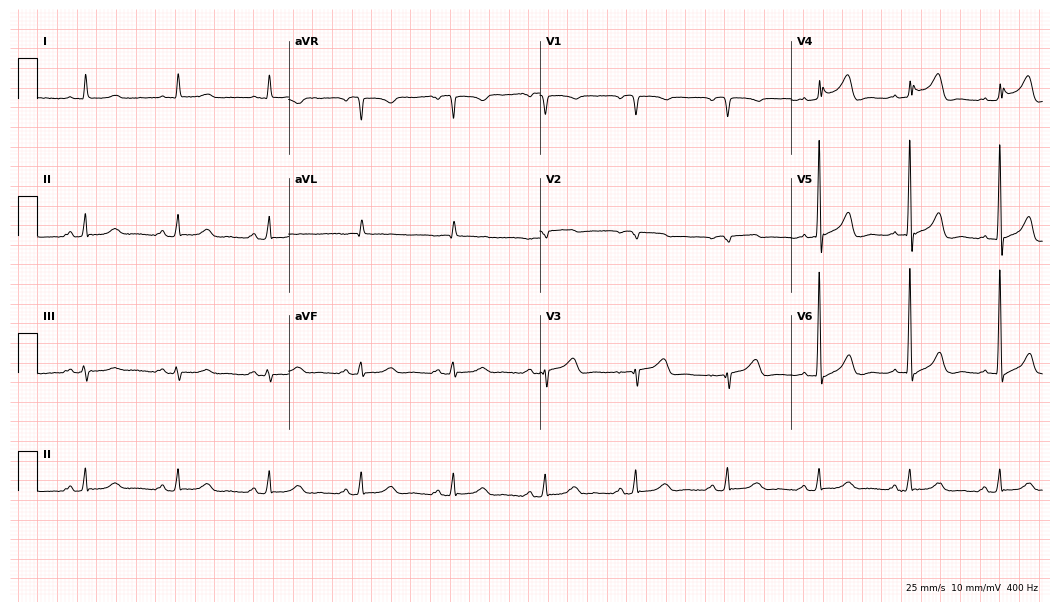
Electrocardiogram (10.2-second recording at 400 Hz), a 70-year-old male. Of the six screened findings (first-degree AV block, right bundle branch block, left bundle branch block, sinus bradycardia, atrial fibrillation, sinus tachycardia), none is recorded. Only these six findings were labelled.